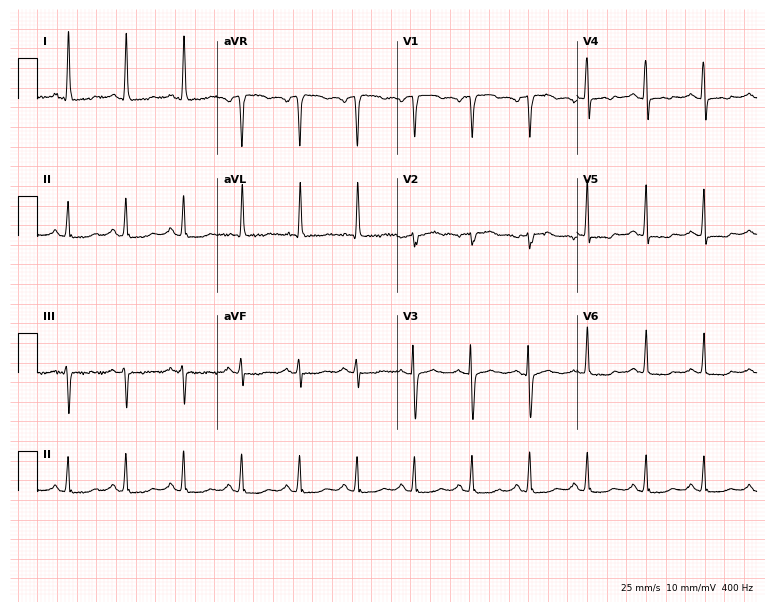
Resting 12-lead electrocardiogram. Patient: a female, 69 years old. The tracing shows sinus tachycardia (a sinus rate of 100 beats per minute or more).